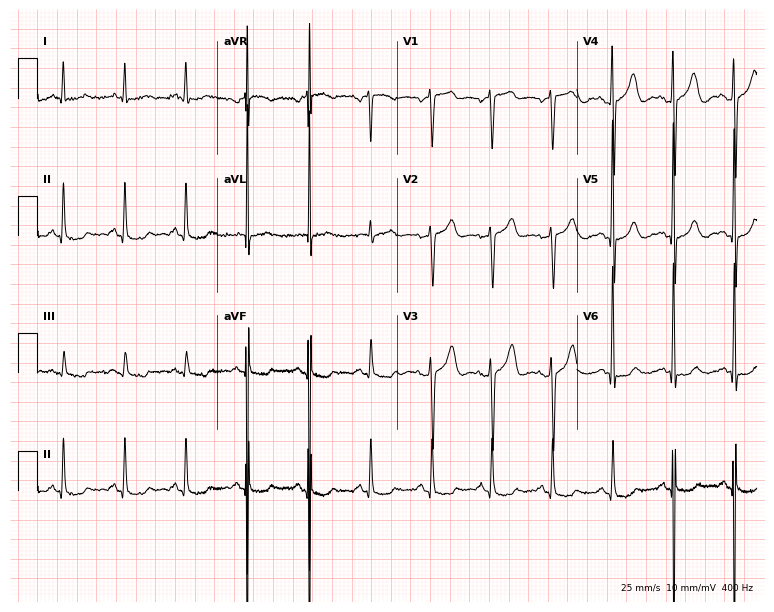
Electrocardiogram (7.3-second recording at 400 Hz), a 74-year-old male. Of the six screened findings (first-degree AV block, right bundle branch block, left bundle branch block, sinus bradycardia, atrial fibrillation, sinus tachycardia), none is recorded. Other findings, if any, are not listed.